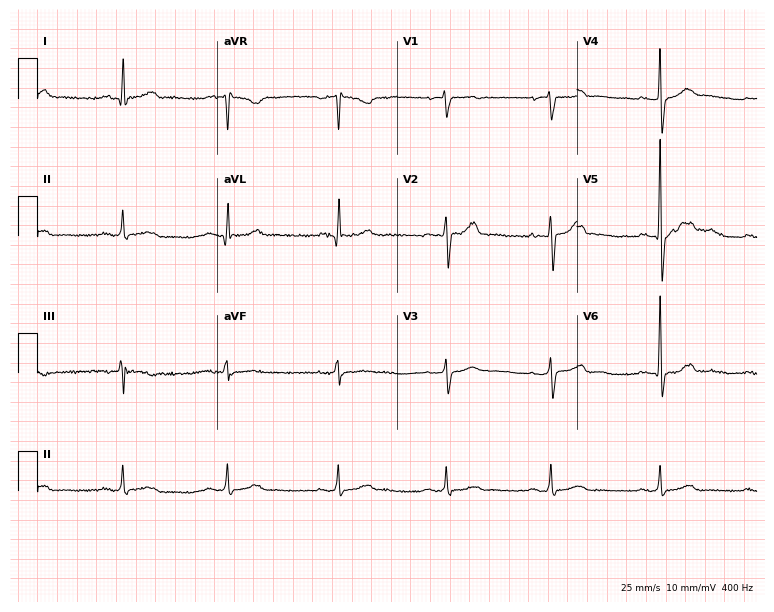
Electrocardiogram, a male patient, 62 years old. Of the six screened findings (first-degree AV block, right bundle branch block, left bundle branch block, sinus bradycardia, atrial fibrillation, sinus tachycardia), none is recorded. Other findings, if any, are not listed.